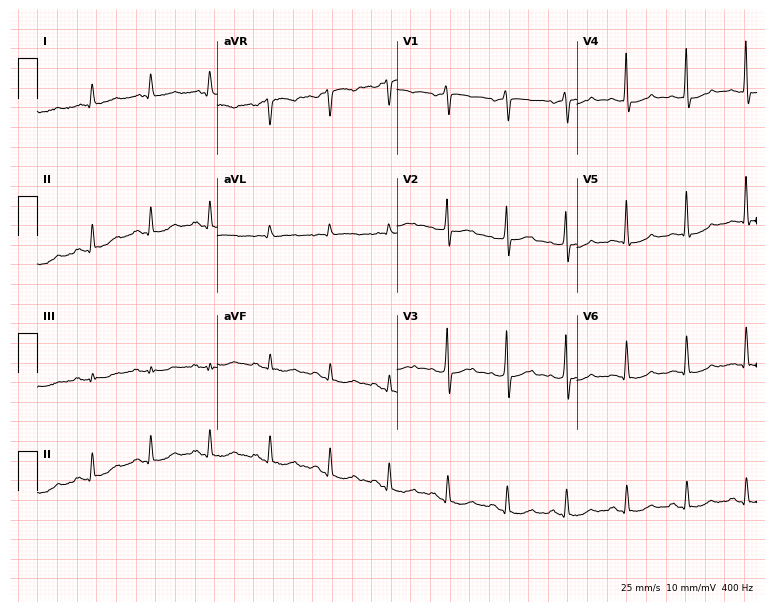
12-lead ECG (7.3-second recording at 400 Hz) from a 59-year-old male. Screened for six findings — first-degree AV block, right bundle branch block, left bundle branch block, sinus bradycardia, atrial fibrillation, sinus tachycardia — none is recorded. Only these six findings were labelled.